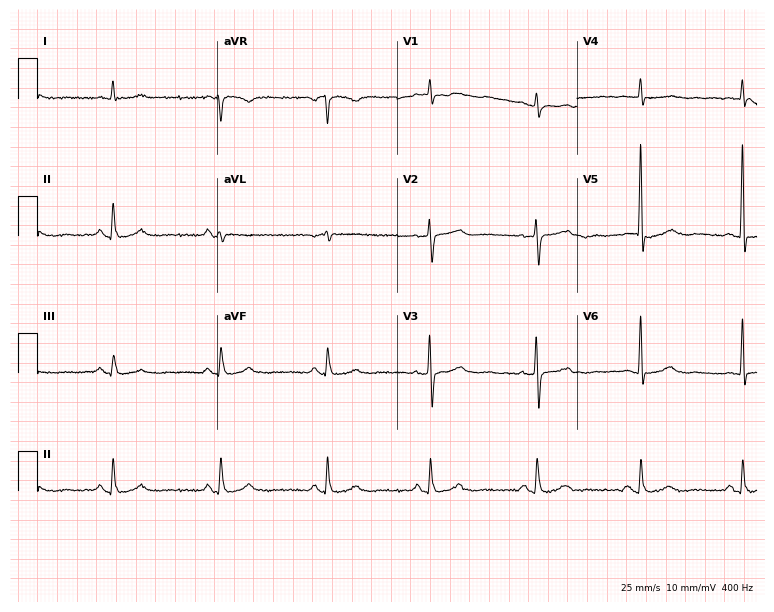
Electrocardiogram, a man, 70 years old. Overall reading on record: normal ECG.